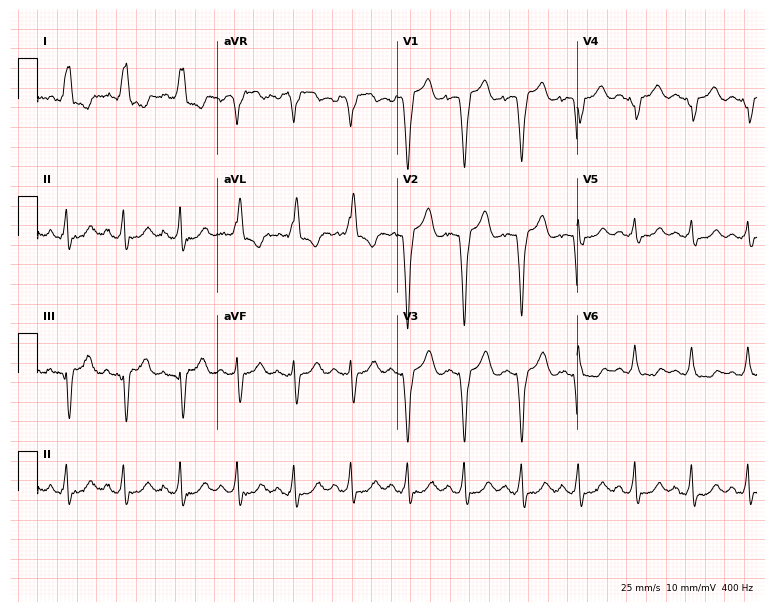
Electrocardiogram, a 78-year-old female patient. Interpretation includes left bundle branch block, sinus tachycardia (a sinus rate of 100 beats per minute or more).